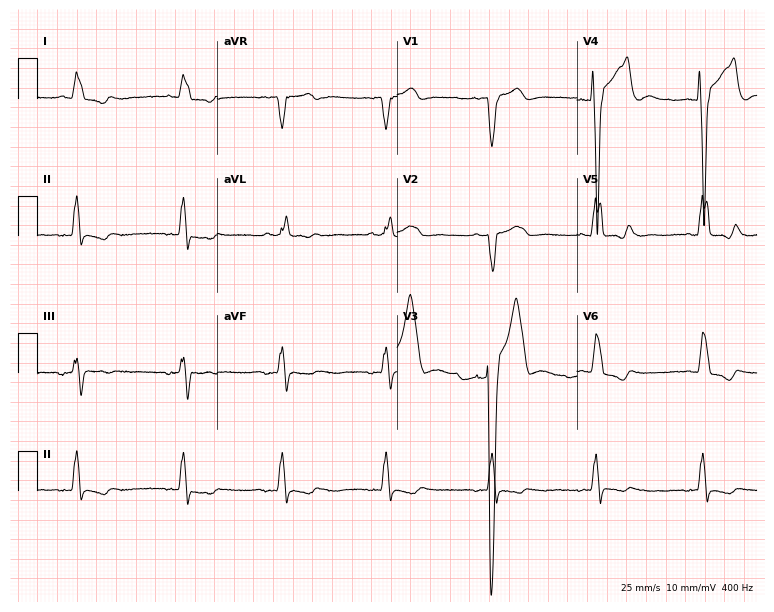
Standard 12-lead ECG recorded from a male, 73 years old (7.3-second recording at 400 Hz). The tracing shows left bundle branch block.